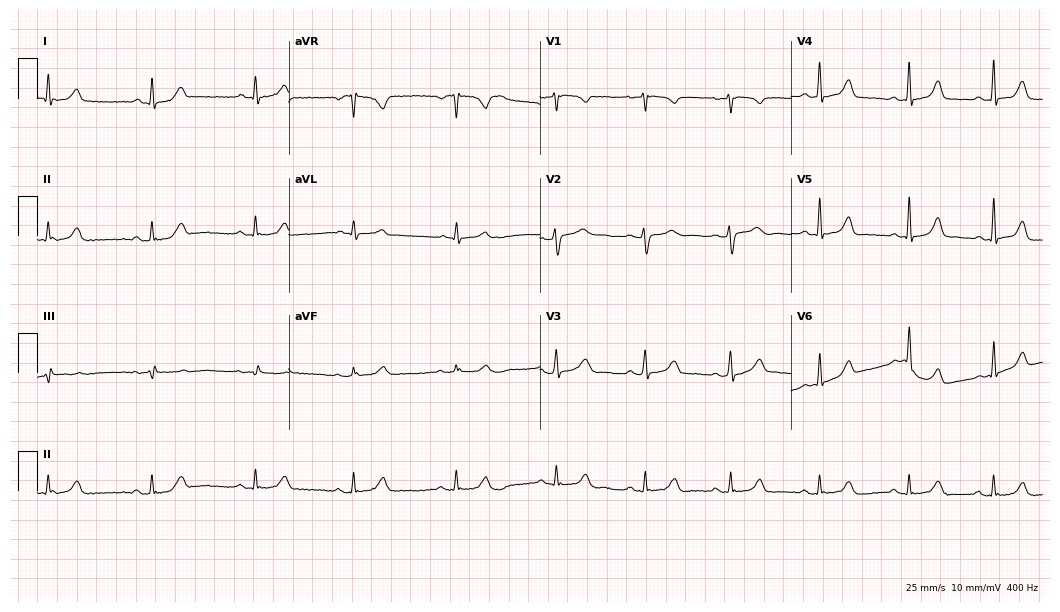
ECG (10.2-second recording at 400 Hz) — a 40-year-old female. Labelled as a normal ECG.